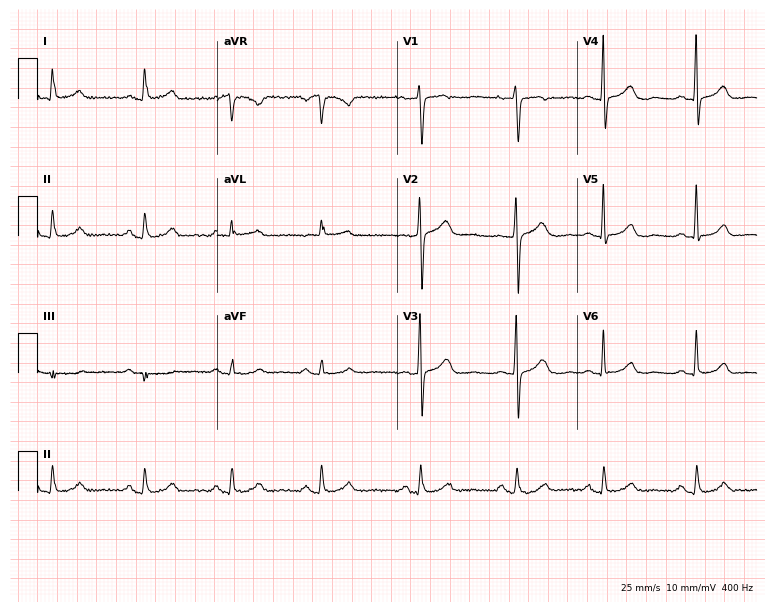
12-lead ECG (7.3-second recording at 400 Hz) from a woman, 65 years old. Labelled as a normal ECG.